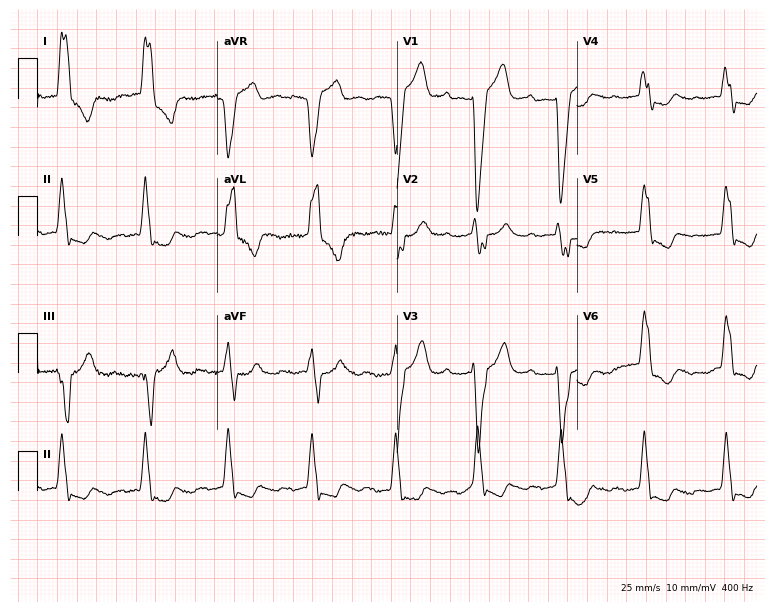
12-lead ECG (7.3-second recording at 400 Hz) from an 83-year-old woman. Findings include left bundle branch block, atrial fibrillation.